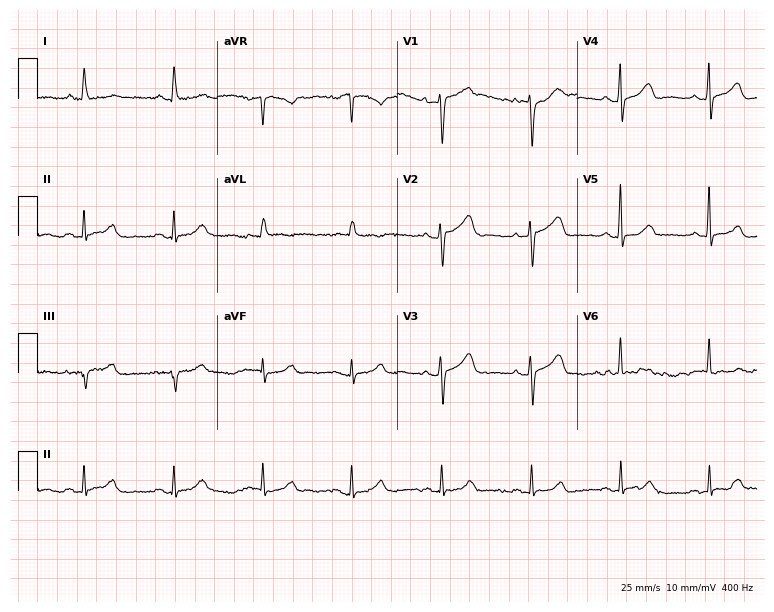
Resting 12-lead electrocardiogram. Patient: a 79-year-old female. Read as a normal ECG.